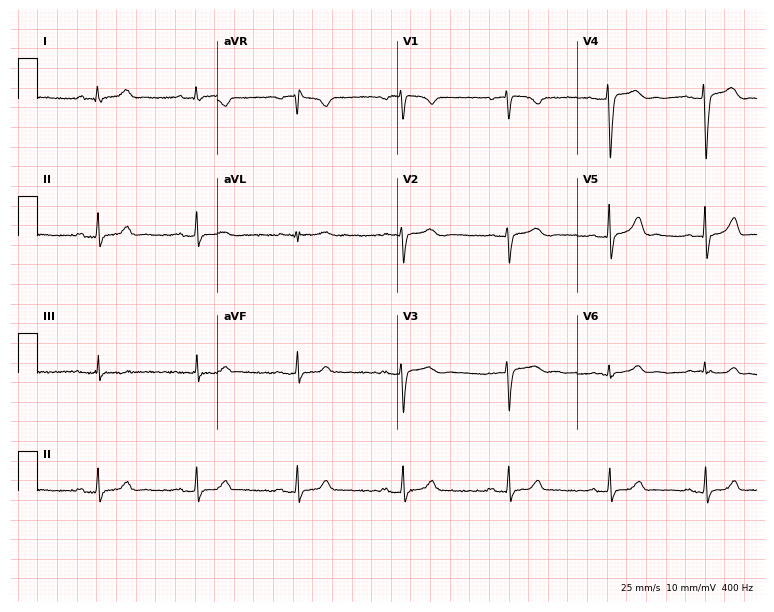
Resting 12-lead electrocardiogram (7.3-second recording at 400 Hz). Patient: a 43-year-old female. Read as a normal ECG.